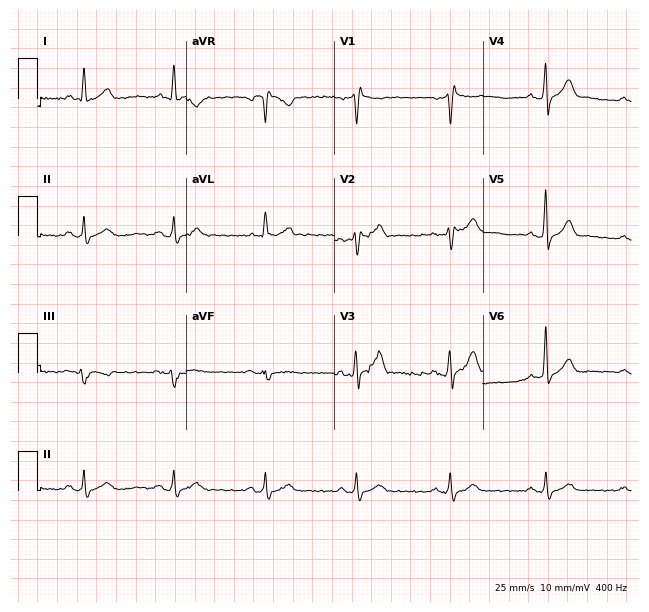
Electrocardiogram (6.1-second recording at 400 Hz), a male patient, 55 years old. Of the six screened findings (first-degree AV block, right bundle branch block (RBBB), left bundle branch block (LBBB), sinus bradycardia, atrial fibrillation (AF), sinus tachycardia), none is recorded.